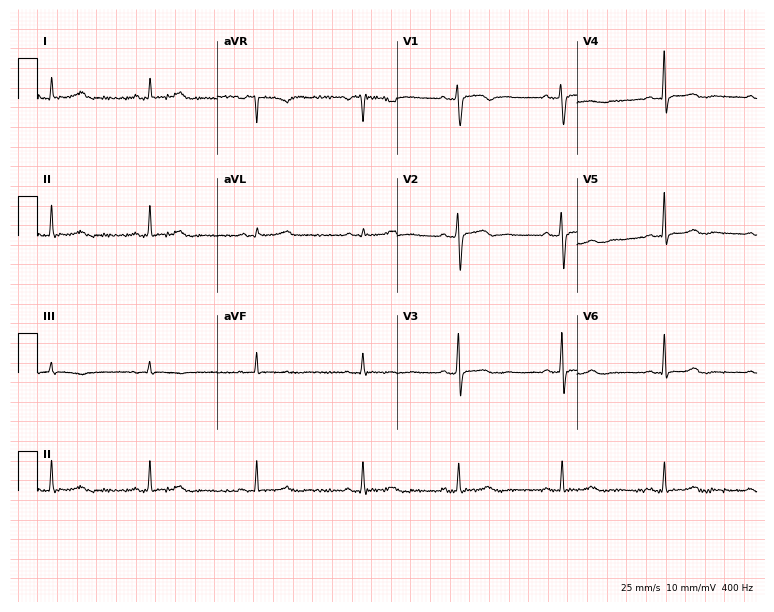
12-lead ECG (7.3-second recording at 400 Hz) from a female patient, 37 years old. Labelled as a normal ECG.